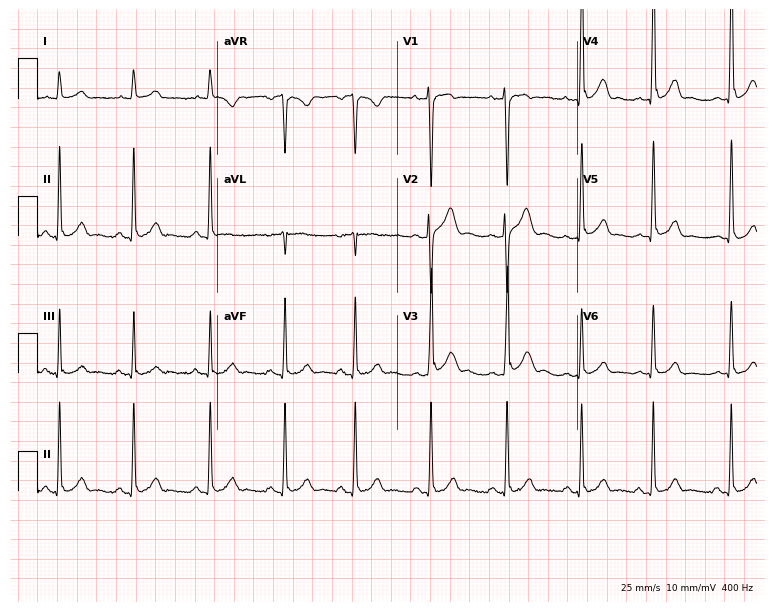
12-lead ECG from a male, 28 years old. Recorded interpretation: within normal limits.